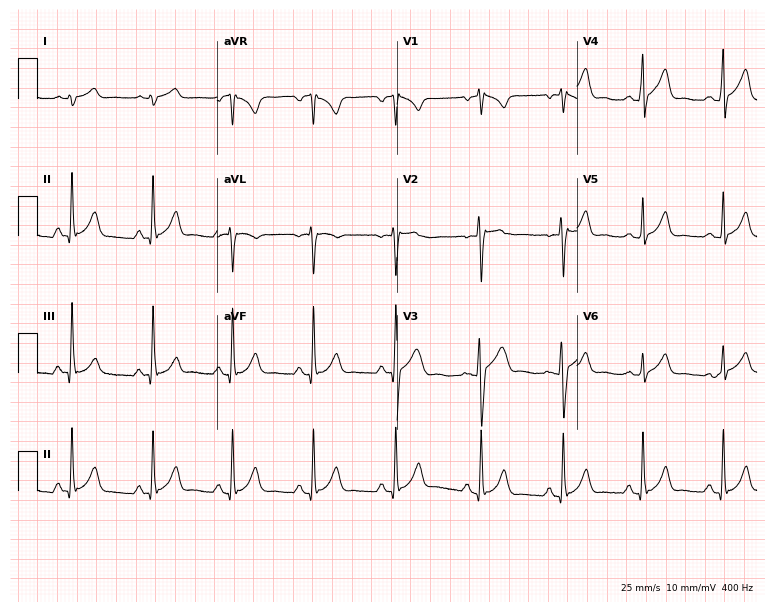
ECG — a 32-year-old male patient. Screened for six findings — first-degree AV block, right bundle branch block, left bundle branch block, sinus bradycardia, atrial fibrillation, sinus tachycardia — none is recorded. Only these six findings were labelled.